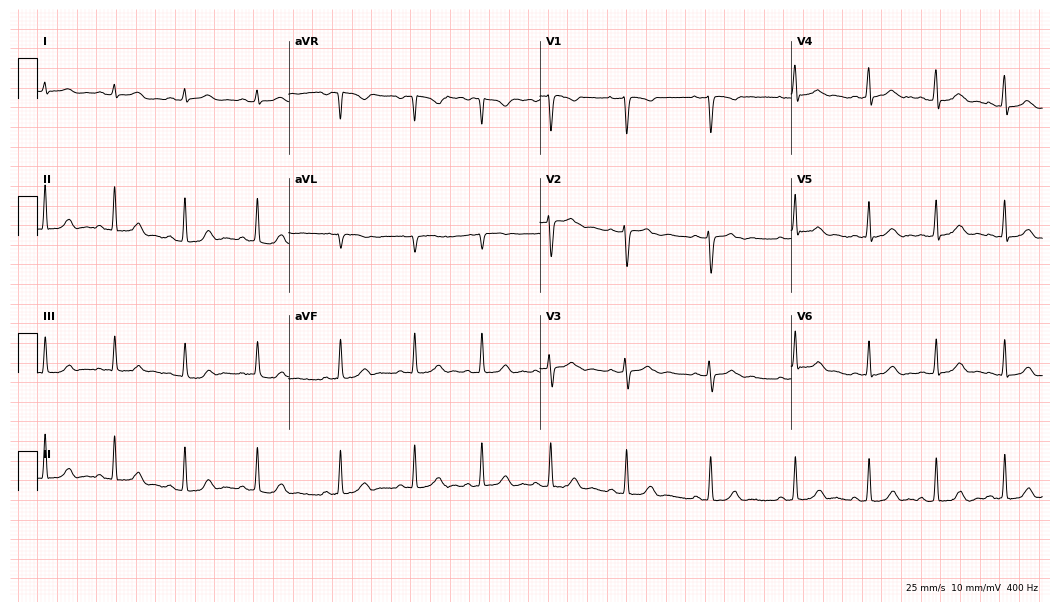
12-lead ECG from a 17-year-old female patient. No first-degree AV block, right bundle branch block, left bundle branch block, sinus bradycardia, atrial fibrillation or sinus tachycardia recorded for this tracing.